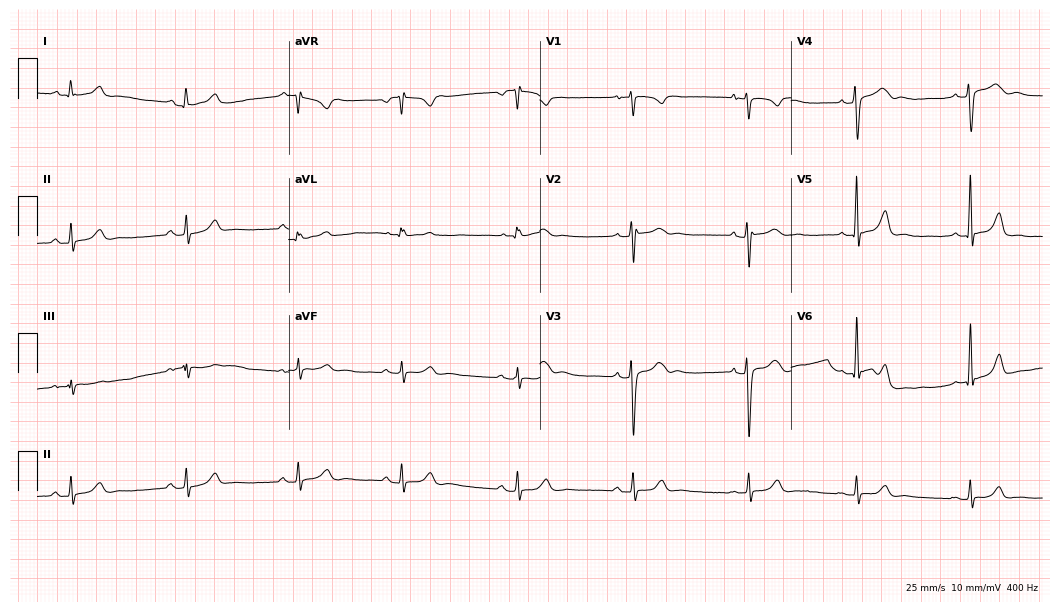
Standard 12-lead ECG recorded from a 27-year-old female patient (10.2-second recording at 400 Hz). Read as a normal ECG.